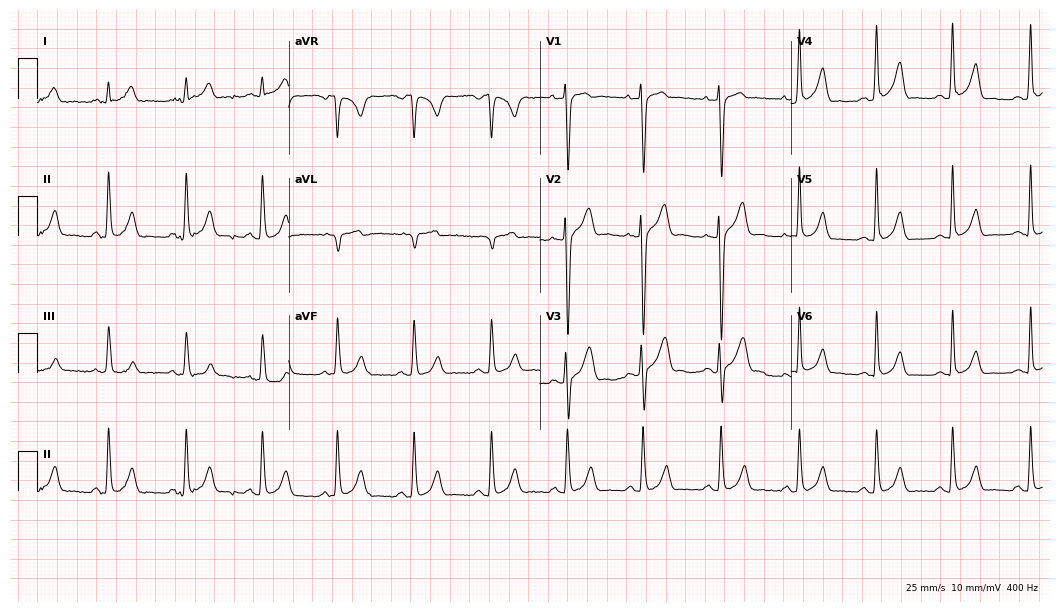
12-lead ECG (10.2-second recording at 400 Hz) from a male, 17 years old. Screened for six findings — first-degree AV block, right bundle branch block (RBBB), left bundle branch block (LBBB), sinus bradycardia, atrial fibrillation (AF), sinus tachycardia — none is recorded. Other findings, if any, are not listed.